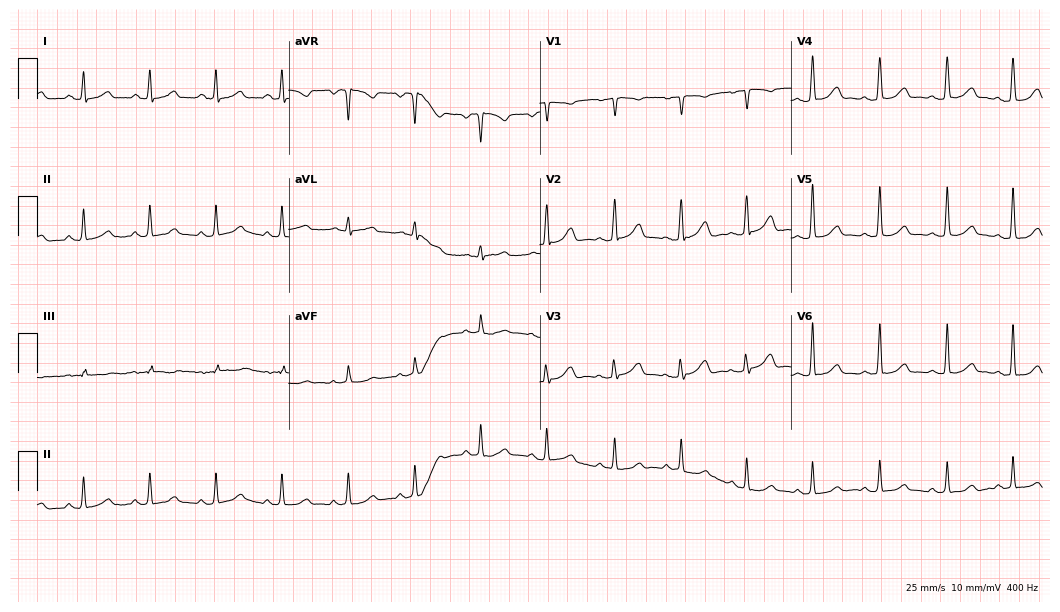
ECG — a woman, 39 years old. Screened for six findings — first-degree AV block, right bundle branch block (RBBB), left bundle branch block (LBBB), sinus bradycardia, atrial fibrillation (AF), sinus tachycardia — none is recorded.